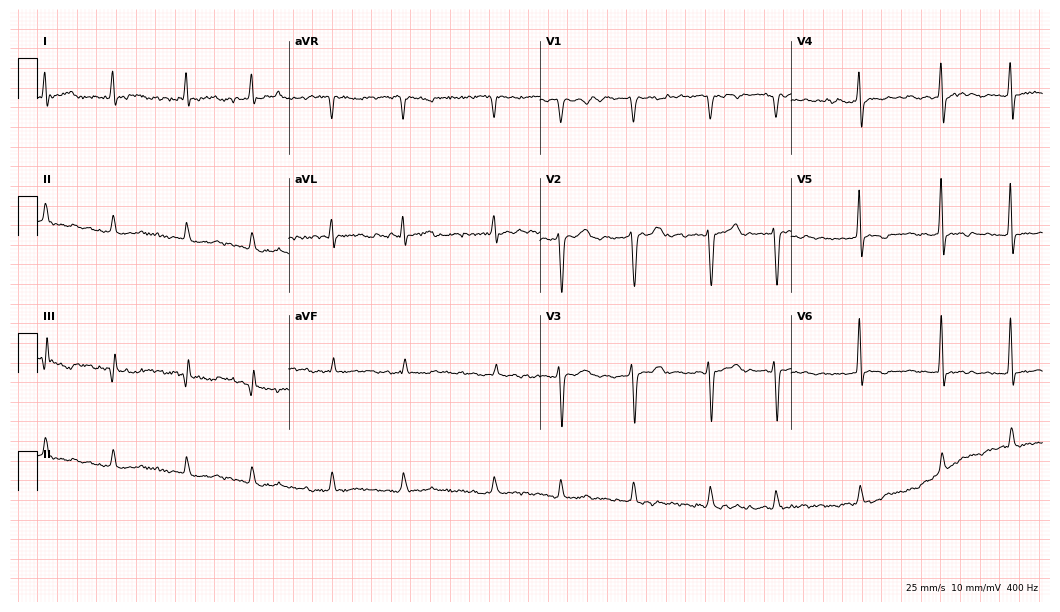
Electrocardiogram, a 51-year-old male patient. Interpretation includes atrial fibrillation.